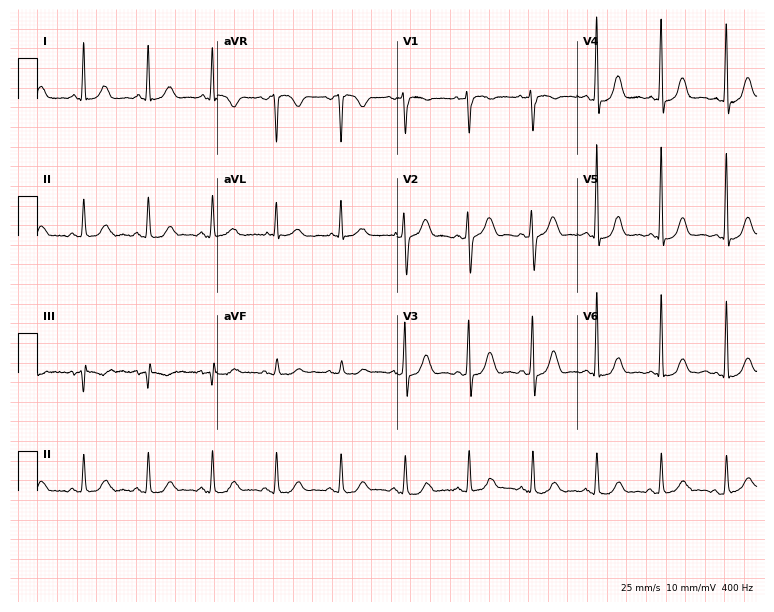
Electrocardiogram, a 69-year-old woman. Overall reading on record: normal ECG.